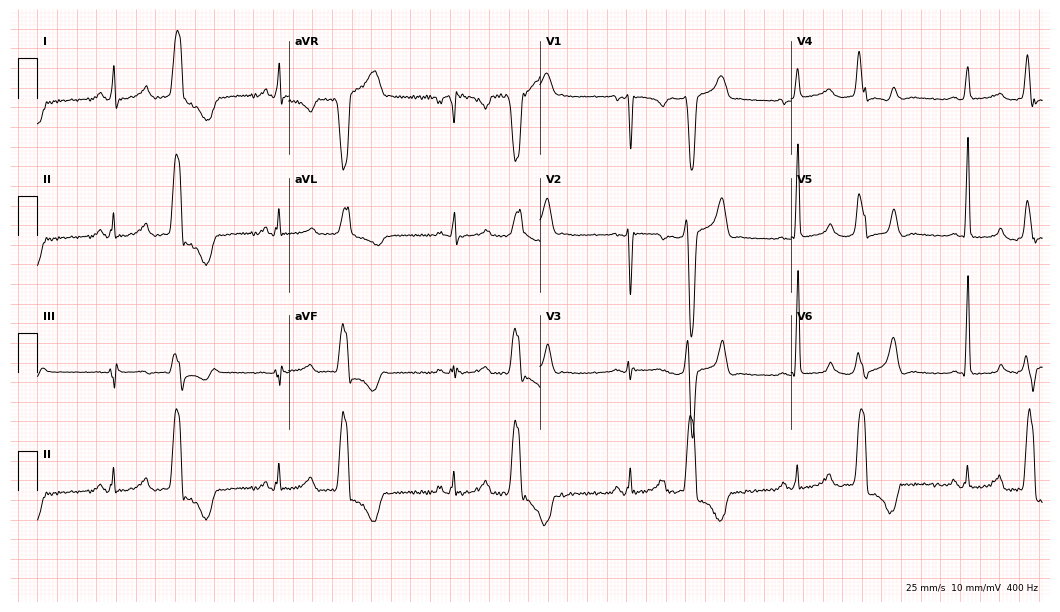
Electrocardiogram, a woman, 44 years old. Of the six screened findings (first-degree AV block, right bundle branch block, left bundle branch block, sinus bradycardia, atrial fibrillation, sinus tachycardia), none is recorded. Other findings, if any, are not listed.